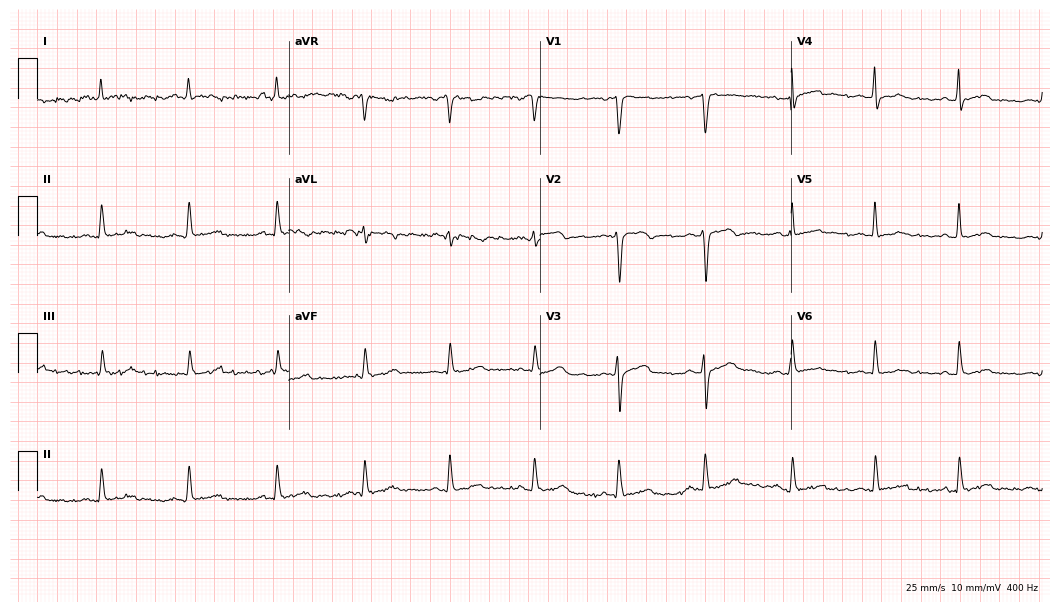
Resting 12-lead electrocardiogram. Patient: a man, 57 years old. Read as a normal ECG.